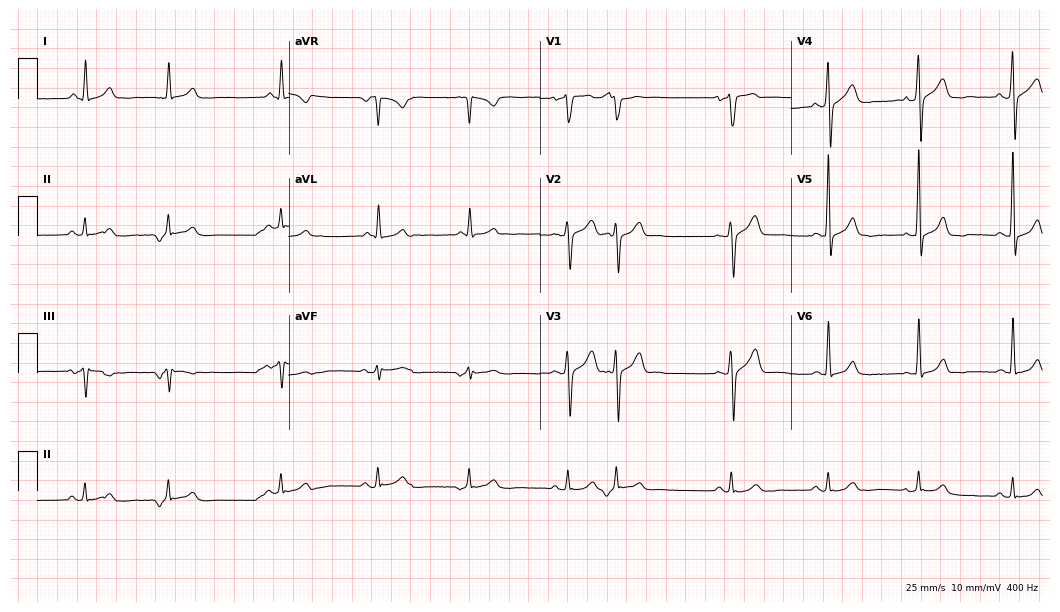
Standard 12-lead ECG recorded from a 51-year-old man. None of these six findings is recorded: first-degree AV block, right bundle branch block, left bundle branch block, sinus bradycardia, atrial fibrillation, sinus tachycardia.